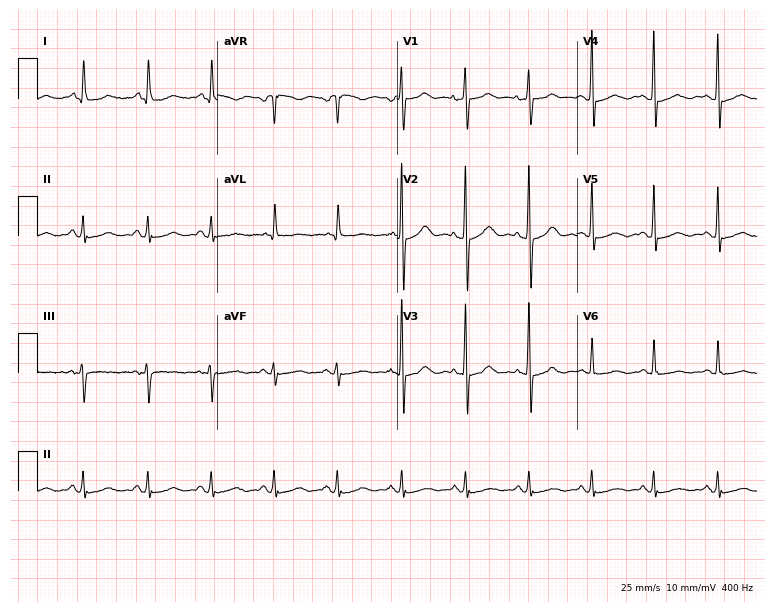
12-lead ECG from a female, 61 years old. No first-degree AV block, right bundle branch block, left bundle branch block, sinus bradycardia, atrial fibrillation or sinus tachycardia recorded for this tracing. Only these six findings were labelled.